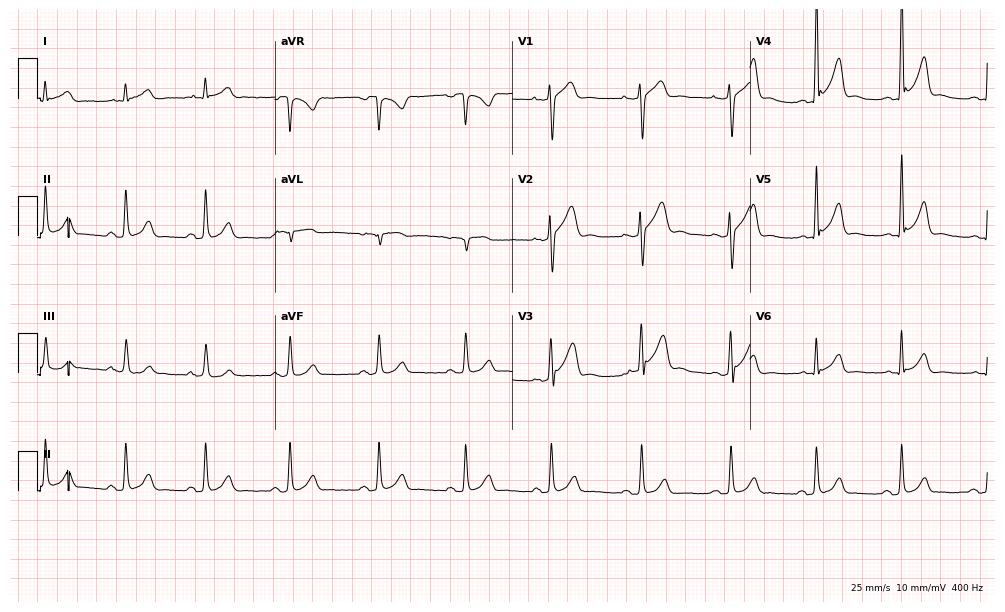
ECG — a 36-year-old man. Screened for six findings — first-degree AV block, right bundle branch block (RBBB), left bundle branch block (LBBB), sinus bradycardia, atrial fibrillation (AF), sinus tachycardia — none is recorded.